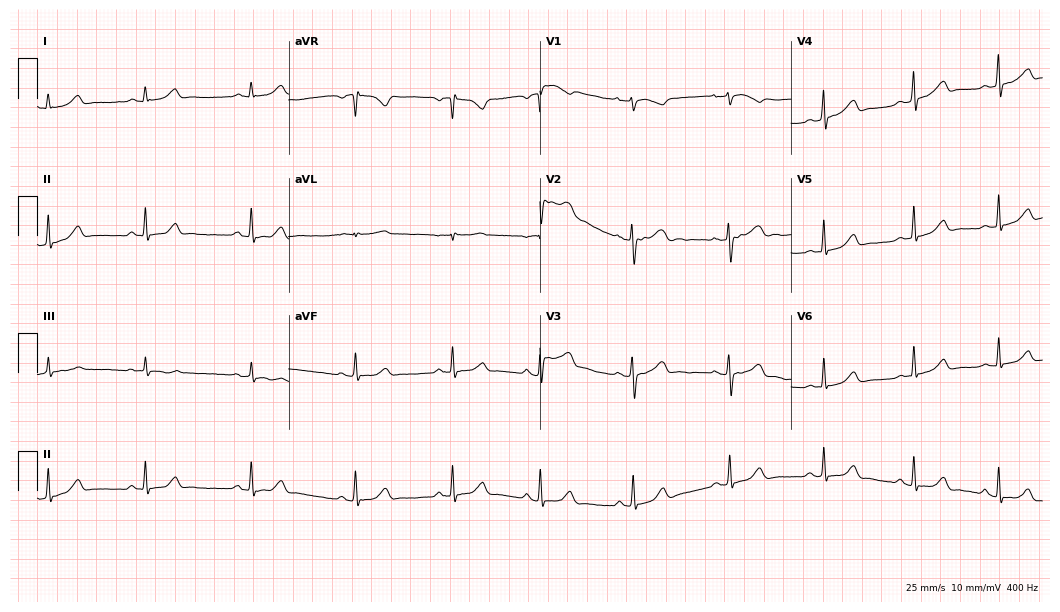
ECG — a woman, 36 years old. Labelled as a normal ECG.